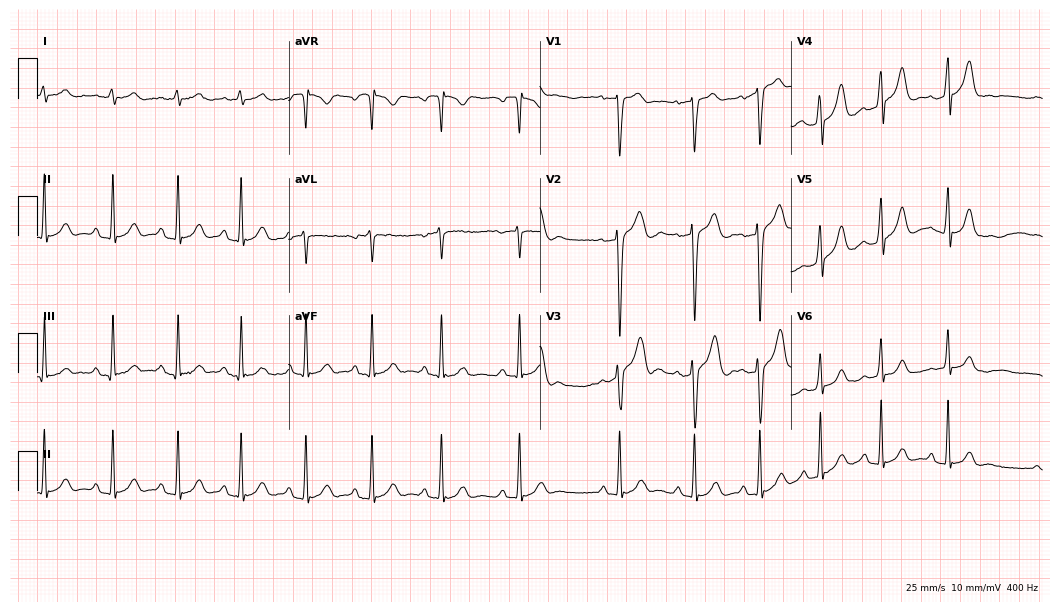
12-lead ECG from a 25-year-old male patient (10.2-second recording at 400 Hz). Recorded interpretation: within normal limits.